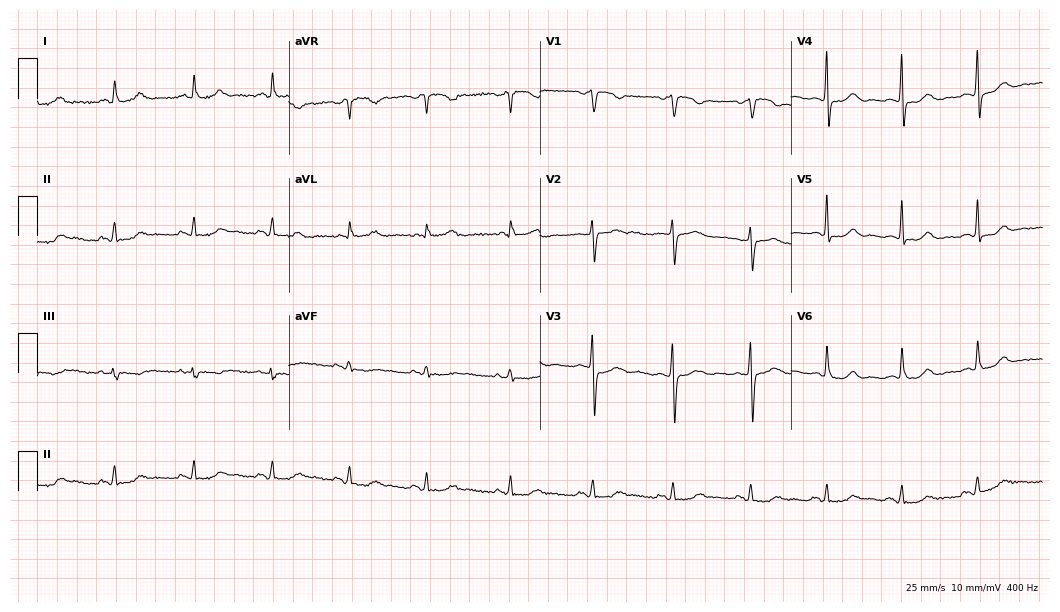
12-lead ECG (10.2-second recording at 400 Hz) from a 66-year-old woman. Labelled as a normal ECG.